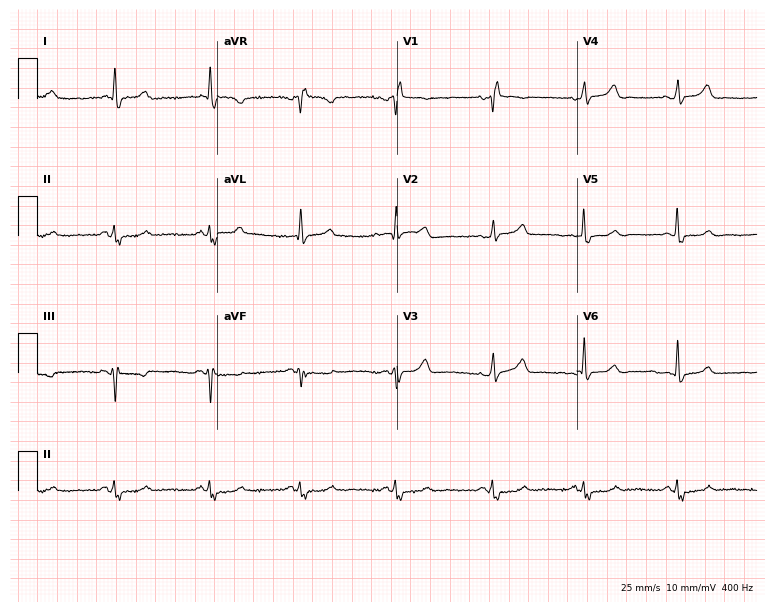
Resting 12-lead electrocardiogram. Patient: a 45-year-old female. None of these six findings is recorded: first-degree AV block, right bundle branch block, left bundle branch block, sinus bradycardia, atrial fibrillation, sinus tachycardia.